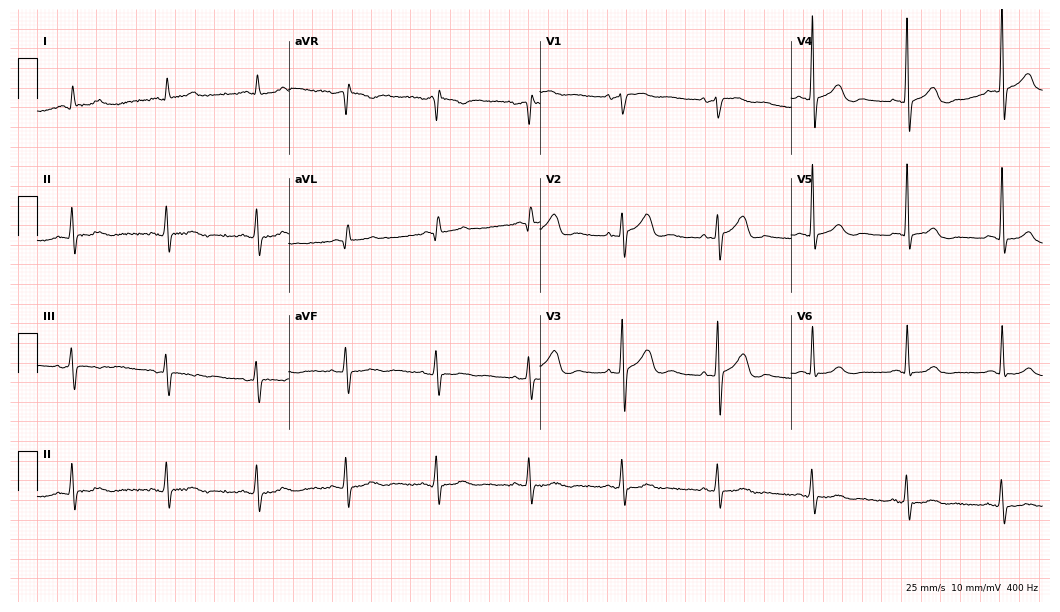
ECG (10.2-second recording at 400 Hz) — a 77-year-old male. Labelled as a normal ECG.